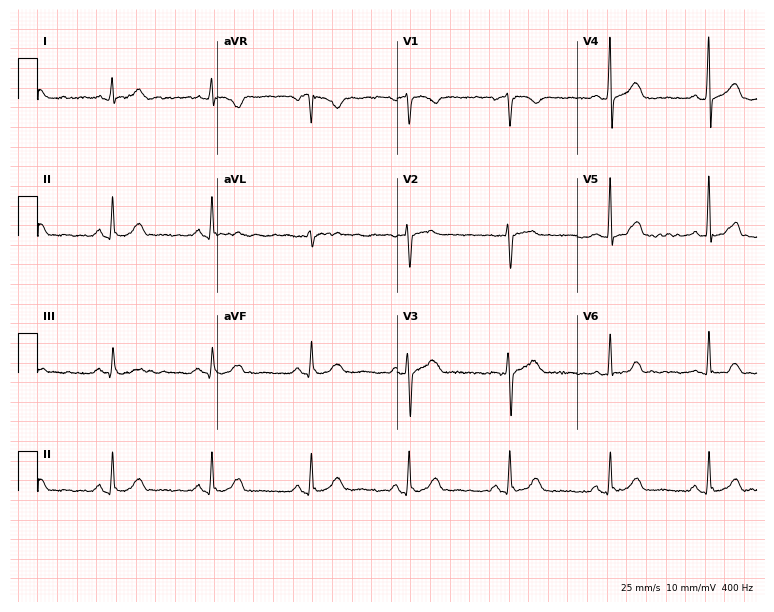
ECG — a female, 49 years old. Screened for six findings — first-degree AV block, right bundle branch block (RBBB), left bundle branch block (LBBB), sinus bradycardia, atrial fibrillation (AF), sinus tachycardia — none is recorded. Findings outside these six are not listed.